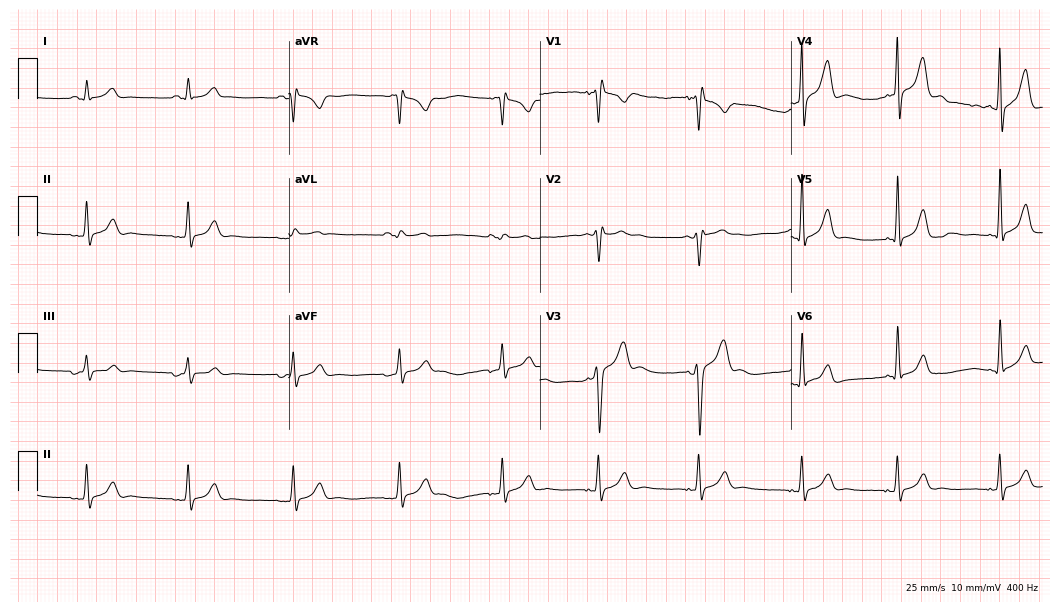
12-lead ECG from a male, 33 years old. Screened for six findings — first-degree AV block, right bundle branch block, left bundle branch block, sinus bradycardia, atrial fibrillation, sinus tachycardia — none is recorded. Findings outside these six are not listed.